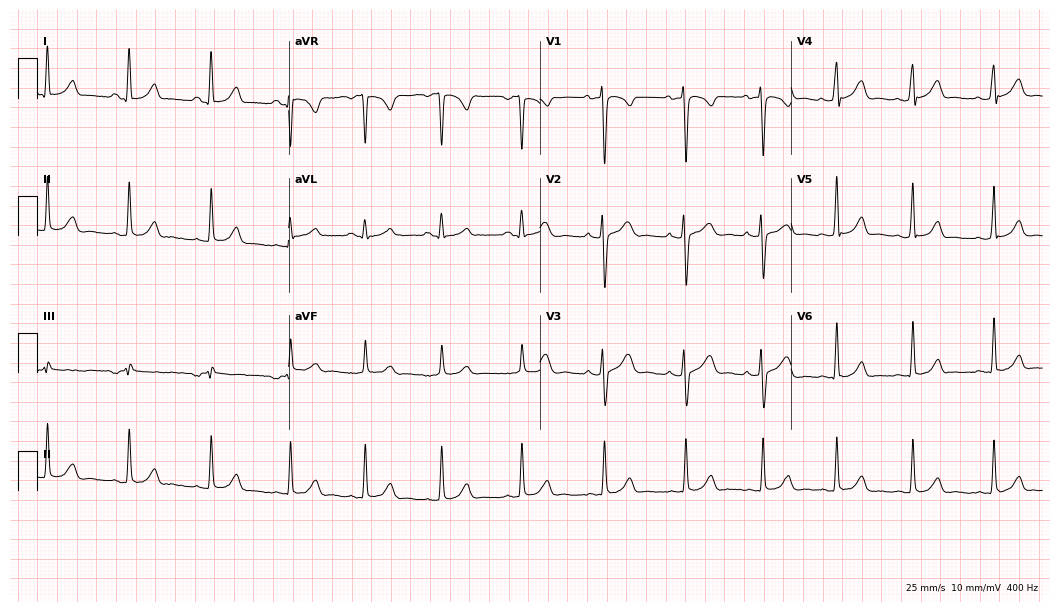
12-lead ECG from a female, 23 years old (10.2-second recording at 400 Hz). No first-degree AV block, right bundle branch block (RBBB), left bundle branch block (LBBB), sinus bradycardia, atrial fibrillation (AF) or sinus tachycardia recorded for this tracing.